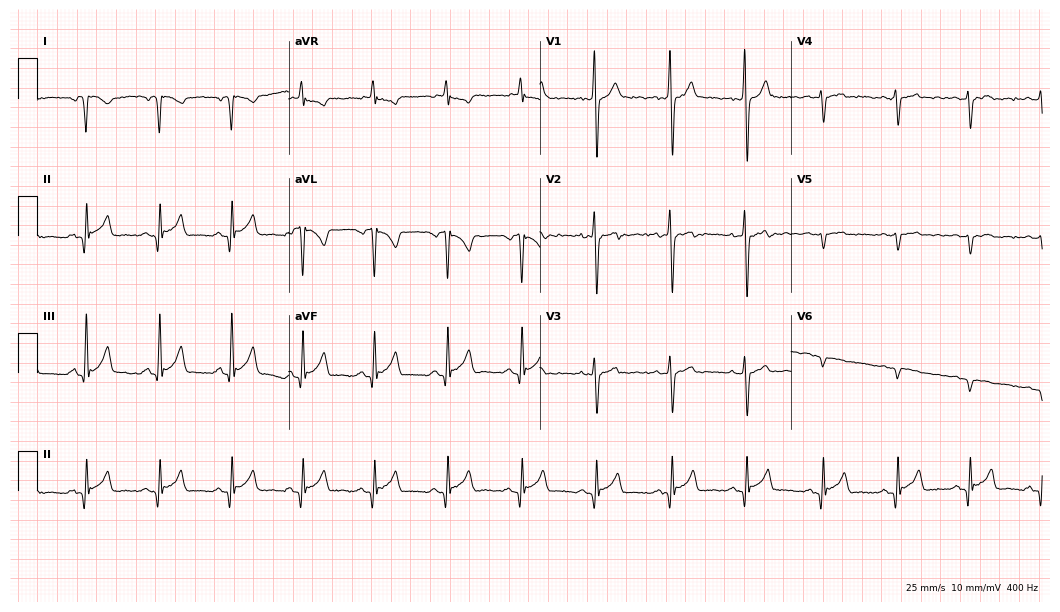
12-lead ECG (10.2-second recording at 400 Hz) from an 18-year-old man. Screened for six findings — first-degree AV block, right bundle branch block, left bundle branch block, sinus bradycardia, atrial fibrillation, sinus tachycardia — none is recorded.